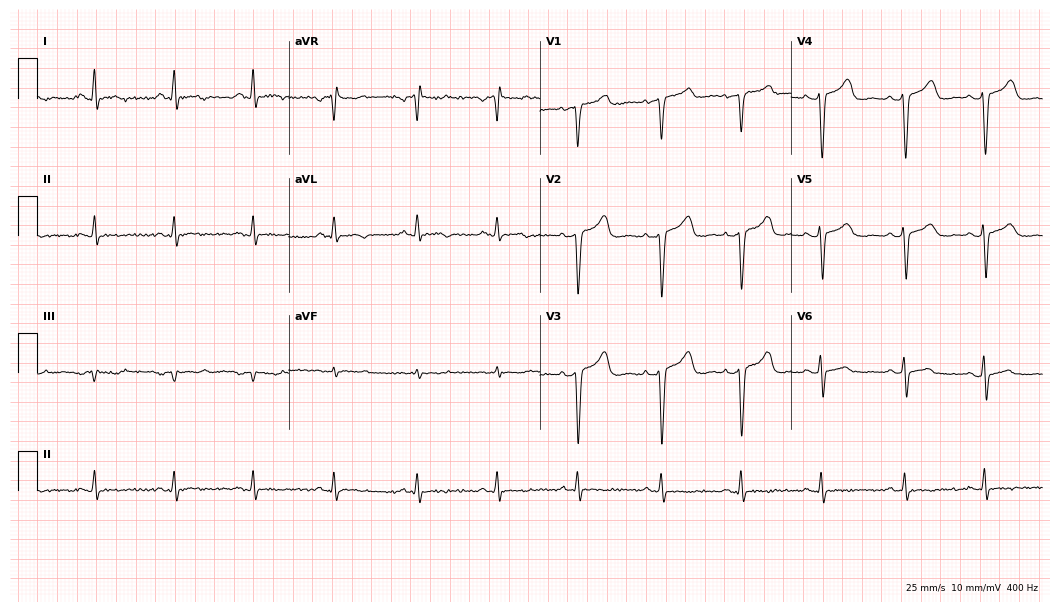
12-lead ECG from a 46-year-old female (10.2-second recording at 400 Hz). No first-degree AV block, right bundle branch block (RBBB), left bundle branch block (LBBB), sinus bradycardia, atrial fibrillation (AF) or sinus tachycardia recorded for this tracing. Other findings, if any, are not listed.